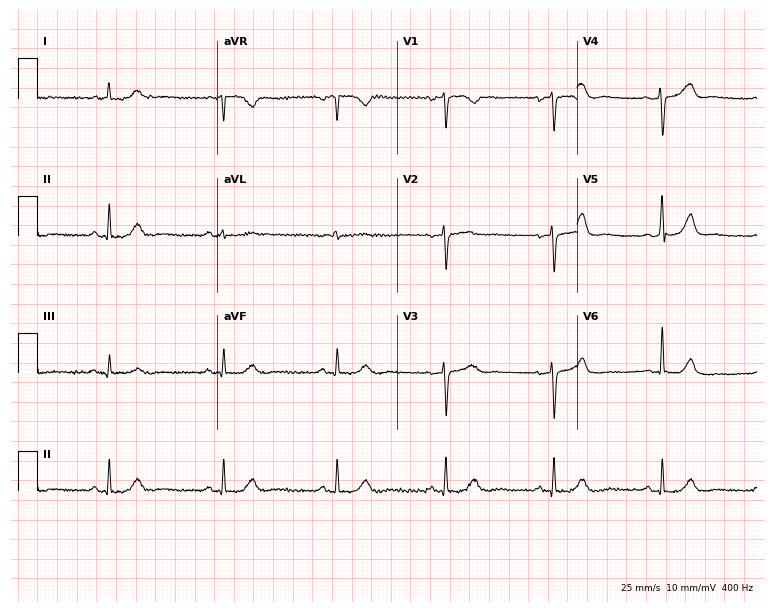
ECG — a female patient, 60 years old. Screened for six findings — first-degree AV block, right bundle branch block, left bundle branch block, sinus bradycardia, atrial fibrillation, sinus tachycardia — none is recorded. Findings outside these six are not listed.